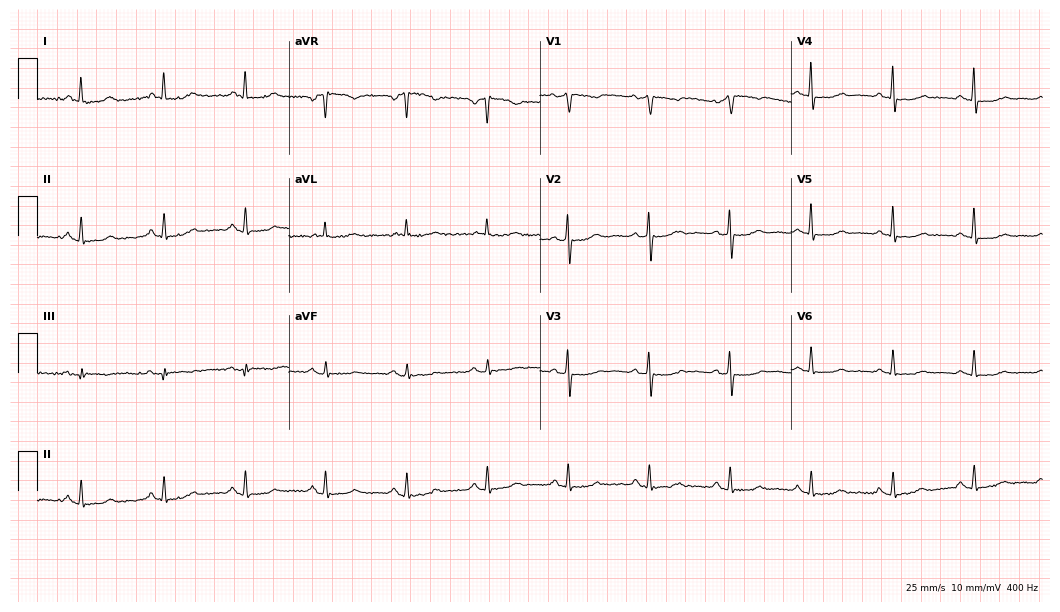
Standard 12-lead ECG recorded from a female, 62 years old. Read as a normal ECG.